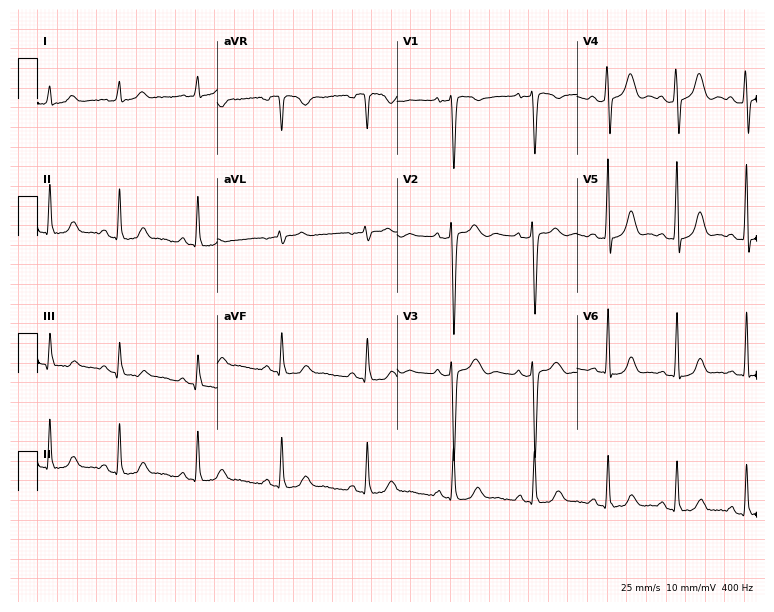
Resting 12-lead electrocardiogram (7.3-second recording at 400 Hz). Patient: a 36-year-old female. None of these six findings is recorded: first-degree AV block, right bundle branch block, left bundle branch block, sinus bradycardia, atrial fibrillation, sinus tachycardia.